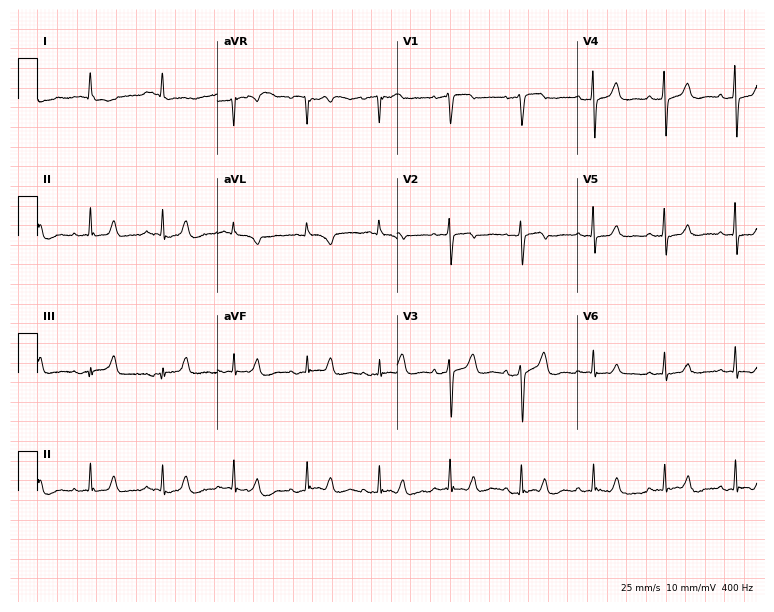
ECG — a female patient, 79 years old. Labelled as a normal ECG.